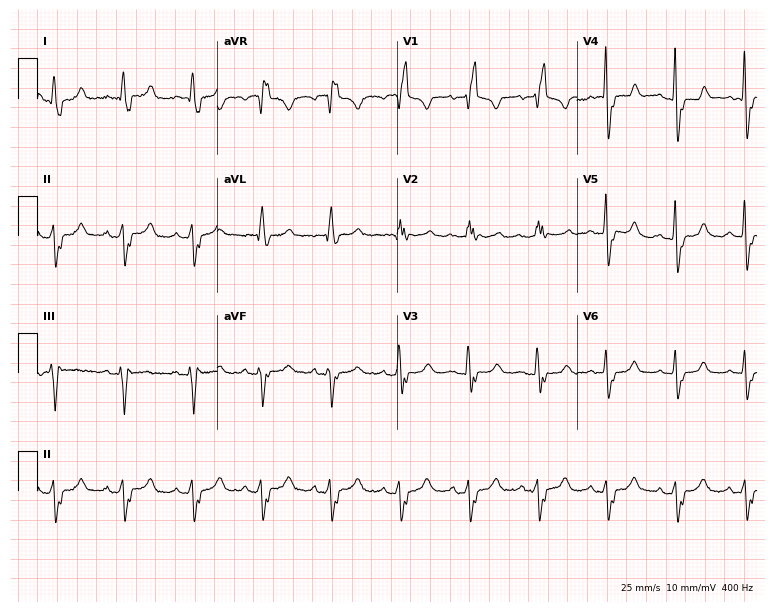
12-lead ECG (7.3-second recording at 400 Hz) from a female patient, 64 years old. Findings include right bundle branch block (RBBB).